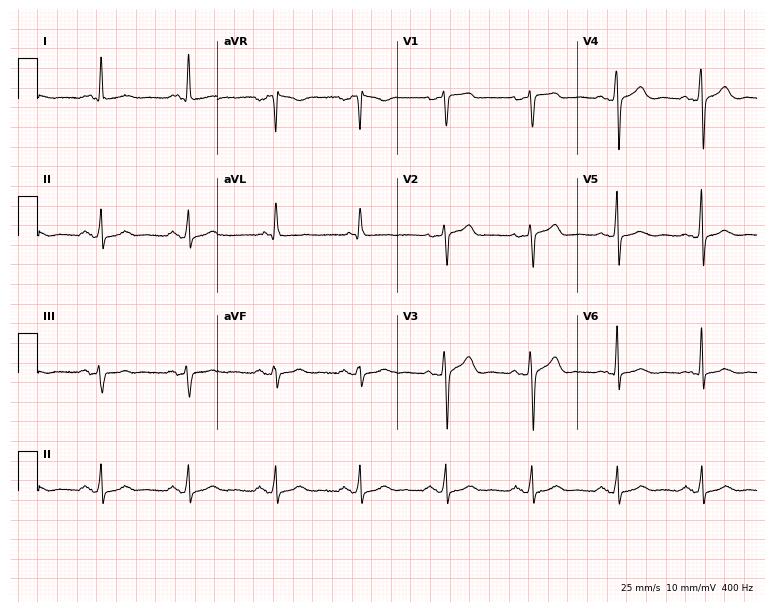
ECG — a woman, 58 years old. Screened for six findings — first-degree AV block, right bundle branch block, left bundle branch block, sinus bradycardia, atrial fibrillation, sinus tachycardia — none is recorded. Findings outside these six are not listed.